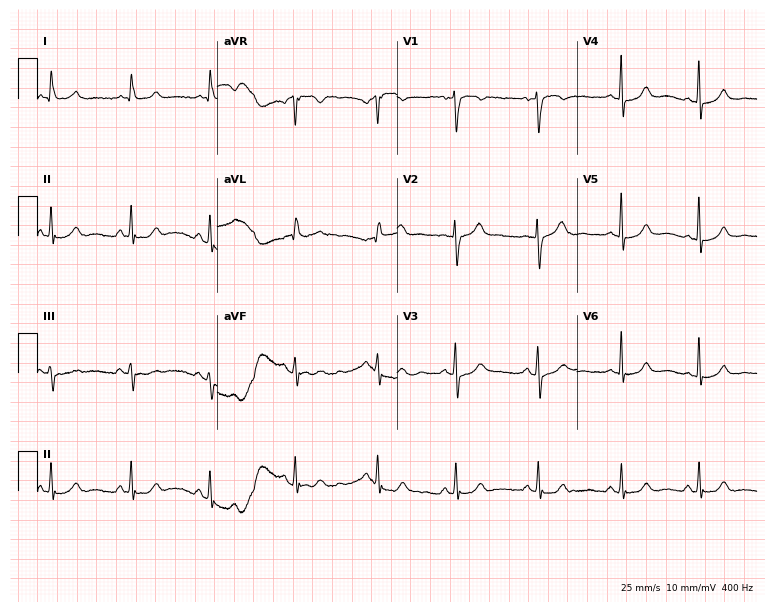
Standard 12-lead ECG recorded from a woman, 54 years old. Read as a normal ECG.